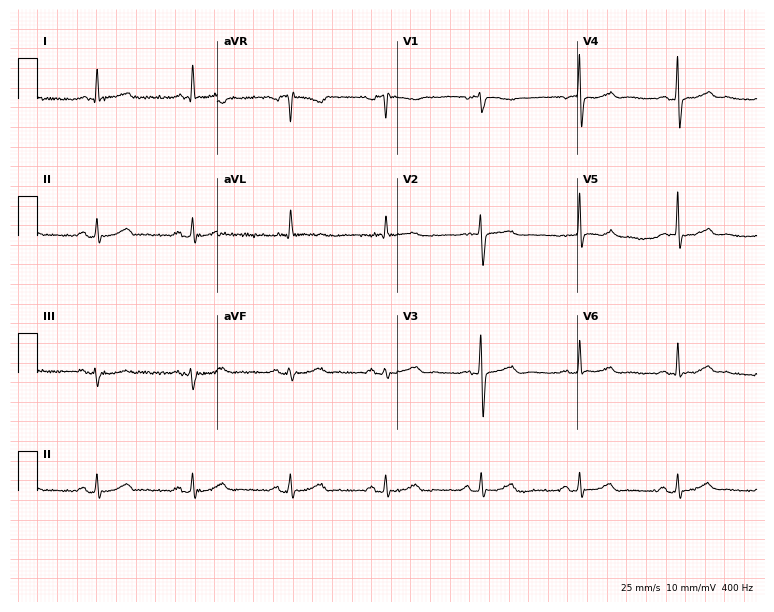
12-lead ECG from a 73-year-old female patient. Recorded interpretation: within normal limits.